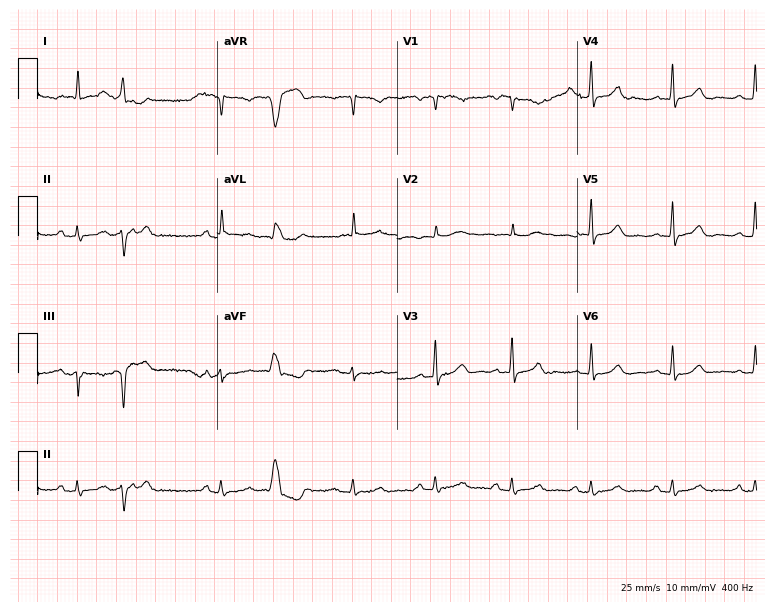
ECG — a 78-year-old man. Screened for six findings — first-degree AV block, right bundle branch block, left bundle branch block, sinus bradycardia, atrial fibrillation, sinus tachycardia — none is recorded. Only these six findings were labelled.